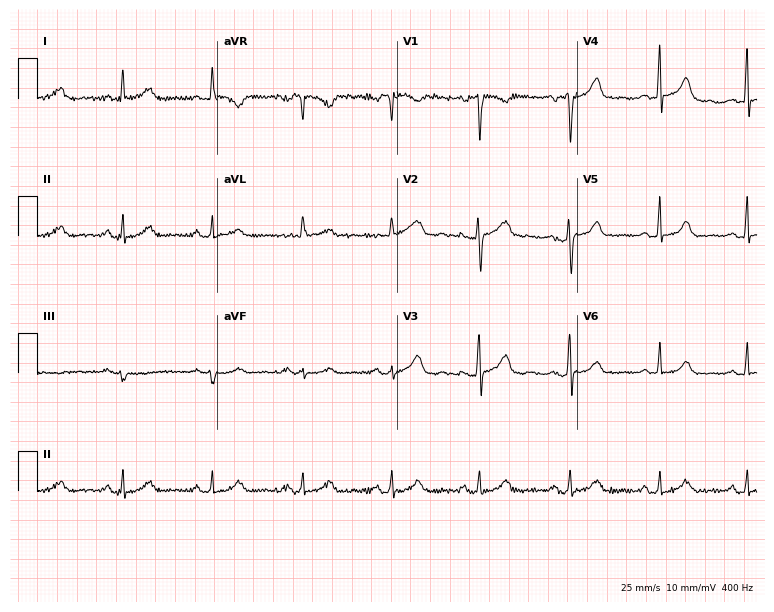
Electrocardiogram, a 52-year-old female patient. Overall reading on record: normal ECG.